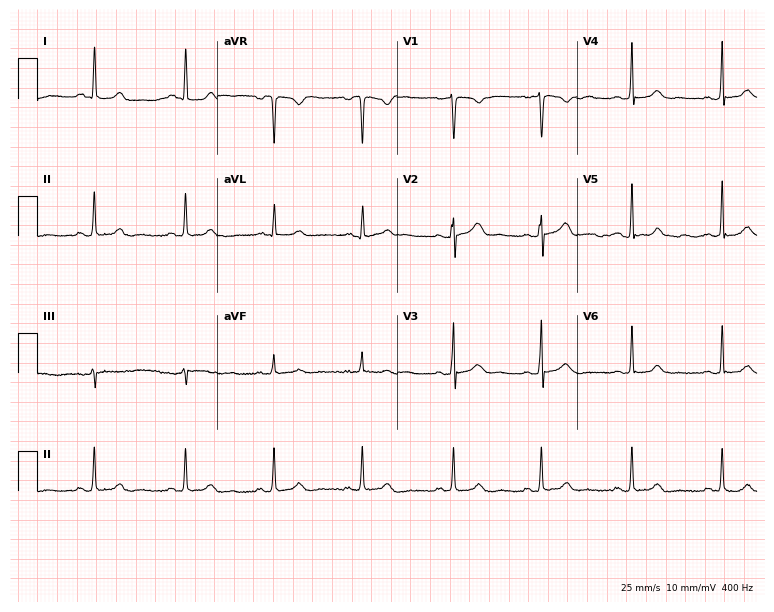
12-lead ECG from a female, 19 years old. Recorded interpretation: within normal limits.